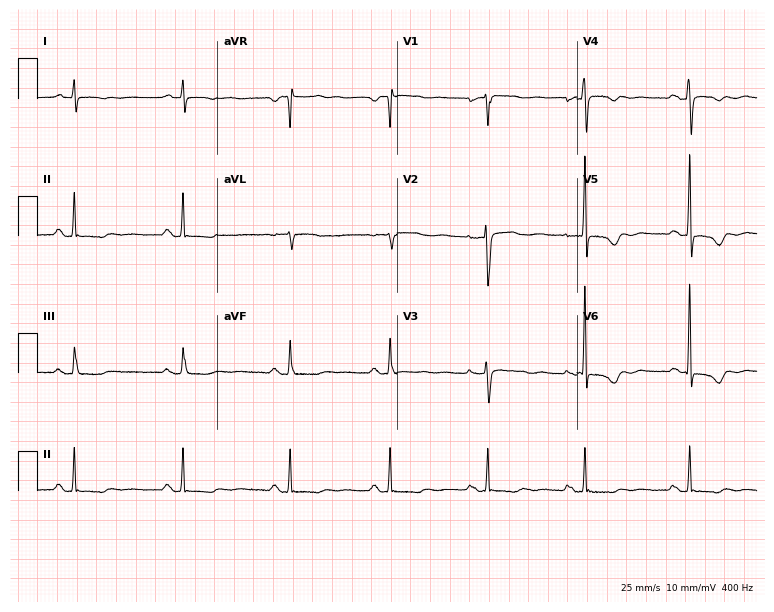
12-lead ECG from a female, 68 years old (7.3-second recording at 400 Hz). No first-degree AV block, right bundle branch block, left bundle branch block, sinus bradycardia, atrial fibrillation or sinus tachycardia recorded for this tracing. Other findings, if any, are not listed.